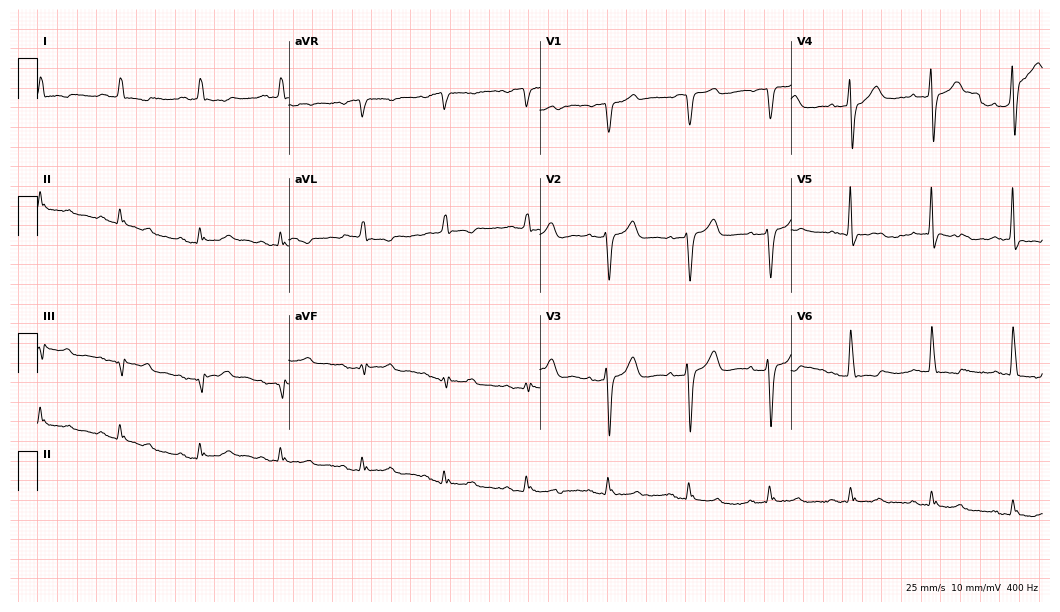
ECG — a man, 82 years old. Screened for six findings — first-degree AV block, right bundle branch block, left bundle branch block, sinus bradycardia, atrial fibrillation, sinus tachycardia — none is recorded. Findings outside these six are not listed.